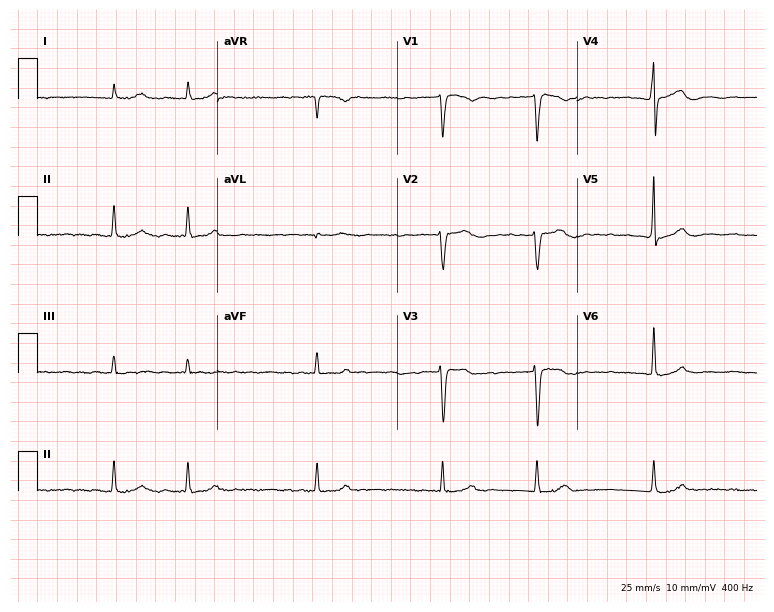
ECG — a man, 74 years old. Findings include atrial fibrillation.